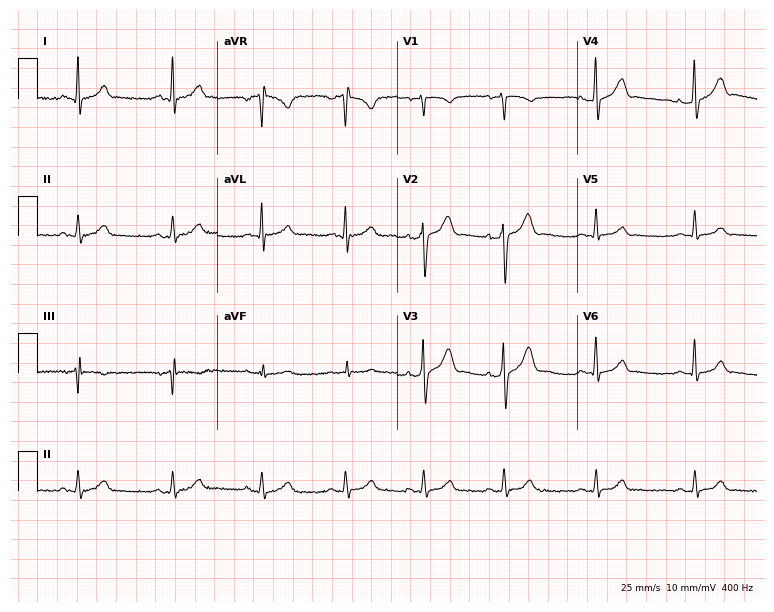
Standard 12-lead ECG recorded from a male, 32 years old (7.3-second recording at 400 Hz). Read as a normal ECG.